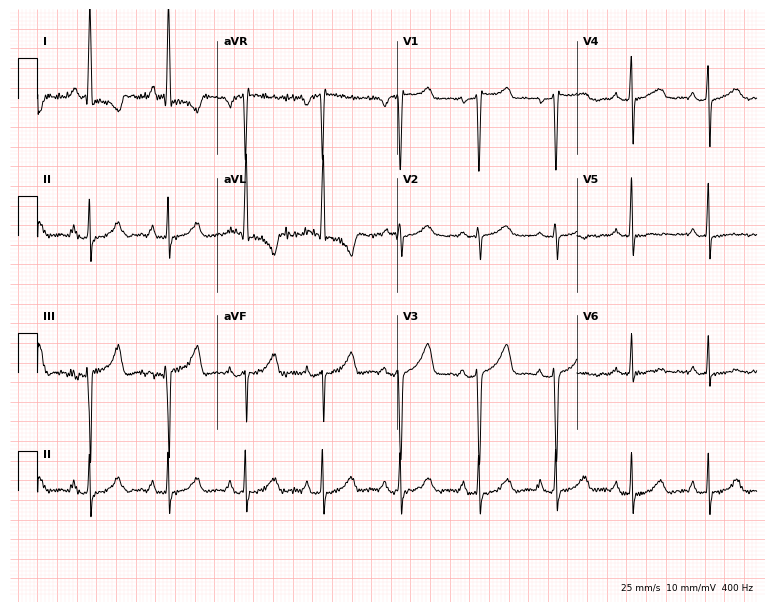
Standard 12-lead ECG recorded from a female, 46 years old. None of these six findings is recorded: first-degree AV block, right bundle branch block, left bundle branch block, sinus bradycardia, atrial fibrillation, sinus tachycardia. Only these six findings were labelled.